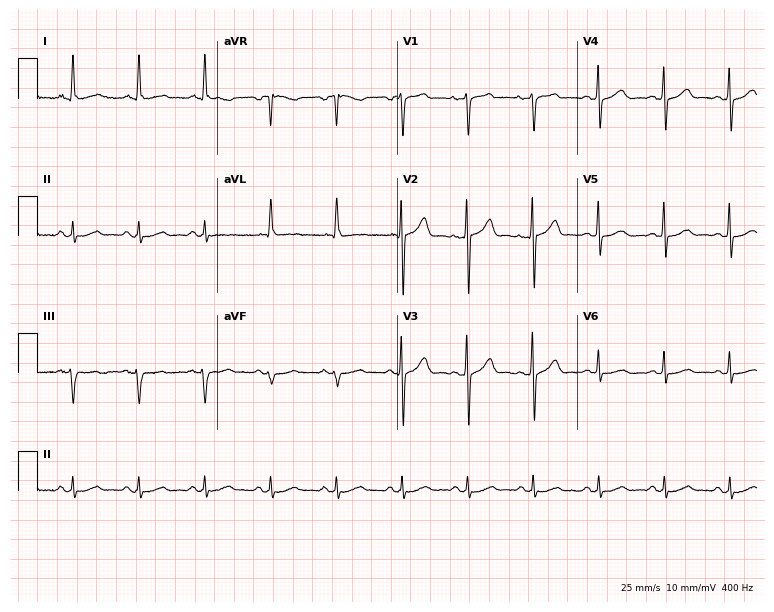
Resting 12-lead electrocardiogram. Patient: a man, 78 years old. None of these six findings is recorded: first-degree AV block, right bundle branch block, left bundle branch block, sinus bradycardia, atrial fibrillation, sinus tachycardia. Only these six findings were labelled.